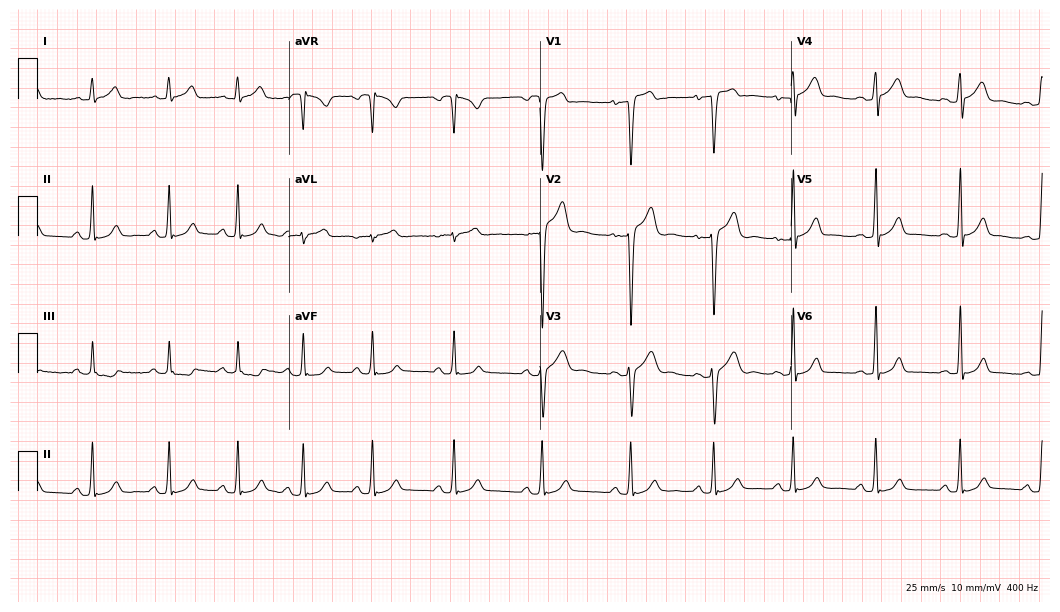
12-lead ECG (10.2-second recording at 400 Hz) from a male, 85 years old. Labelled as a normal ECG.